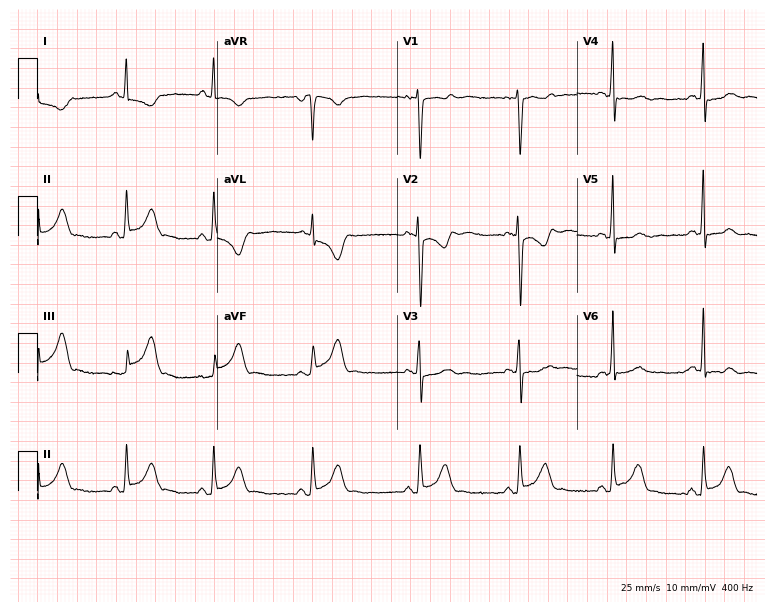
Electrocardiogram (7.3-second recording at 400 Hz), a 48-year-old woman. Of the six screened findings (first-degree AV block, right bundle branch block, left bundle branch block, sinus bradycardia, atrial fibrillation, sinus tachycardia), none is recorded. Other findings, if any, are not listed.